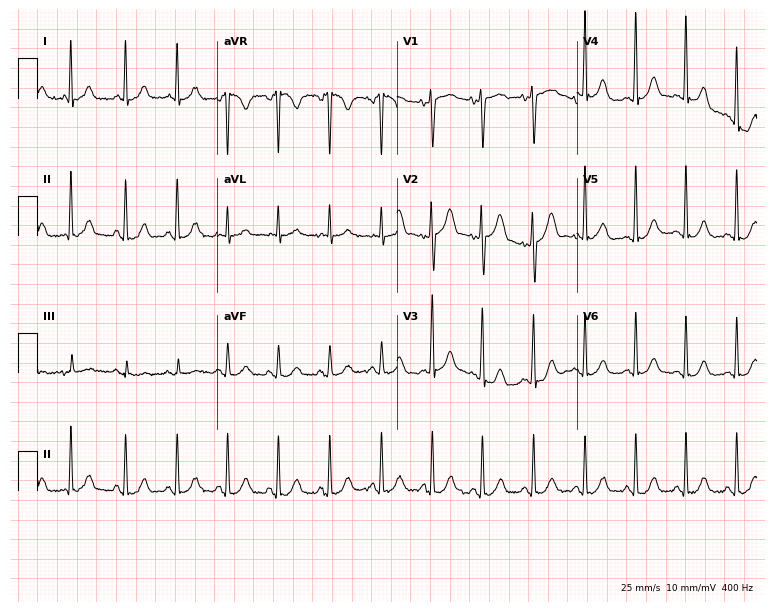
Electrocardiogram (7.3-second recording at 400 Hz), a female, 54 years old. Interpretation includes sinus tachycardia (a sinus rate of 100 beats per minute or more).